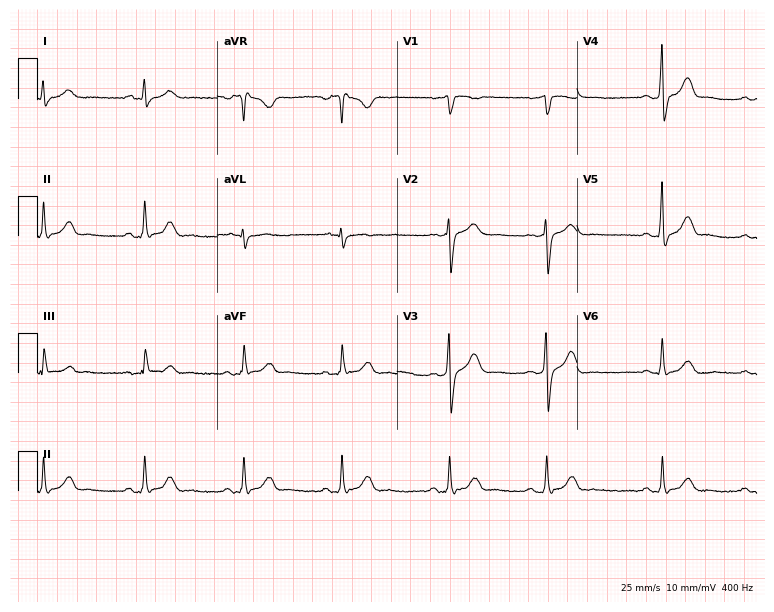
12-lead ECG from a man, 35 years old. Screened for six findings — first-degree AV block, right bundle branch block, left bundle branch block, sinus bradycardia, atrial fibrillation, sinus tachycardia — none is recorded. Only these six findings were labelled.